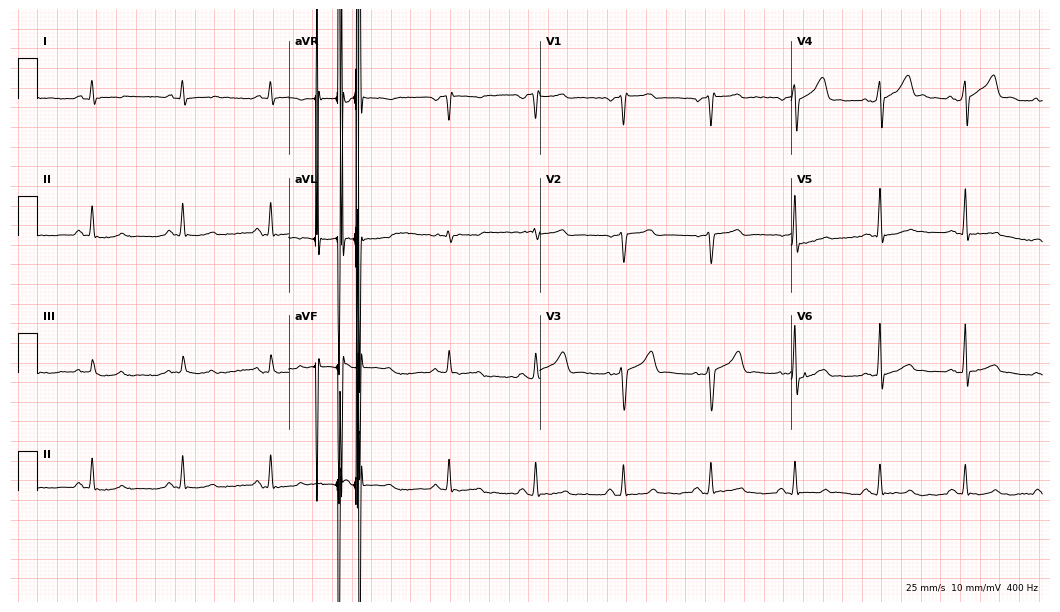
12-lead ECG from a male, 56 years old. No first-degree AV block, right bundle branch block (RBBB), left bundle branch block (LBBB), sinus bradycardia, atrial fibrillation (AF) or sinus tachycardia recorded for this tracing. Findings outside these six are not listed.